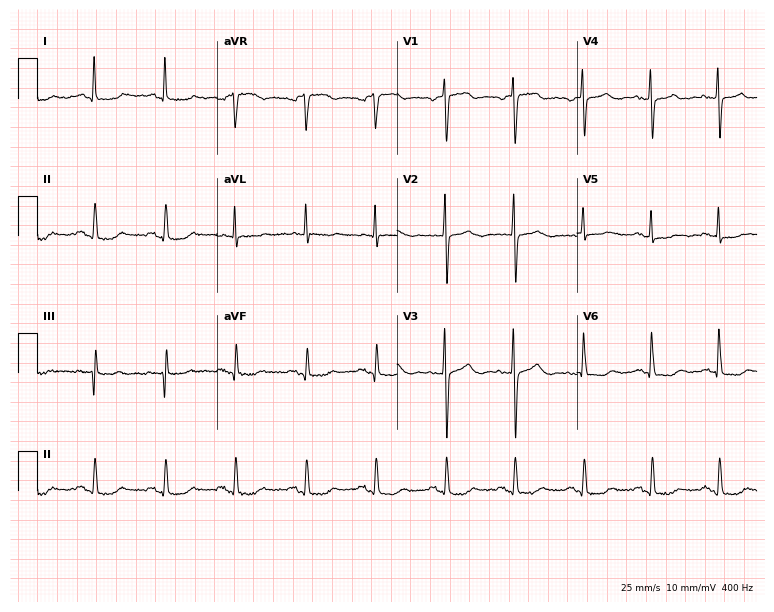
12-lead ECG from a 75-year-old female patient. No first-degree AV block, right bundle branch block, left bundle branch block, sinus bradycardia, atrial fibrillation or sinus tachycardia recorded for this tracing.